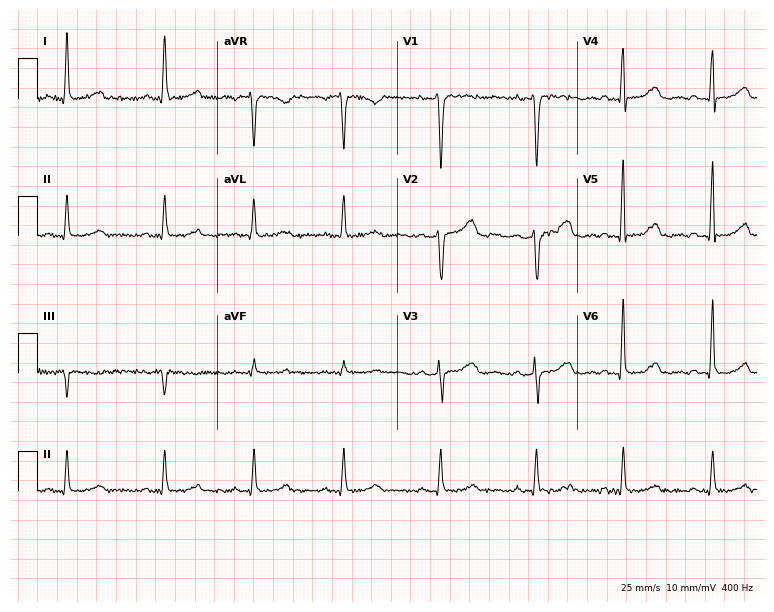
Standard 12-lead ECG recorded from a 48-year-old woman. None of these six findings is recorded: first-degree AV block, right bundle branch block, left bundle branch block, sinus bradycardia, atrial fibrillation, sinus tachycardia.